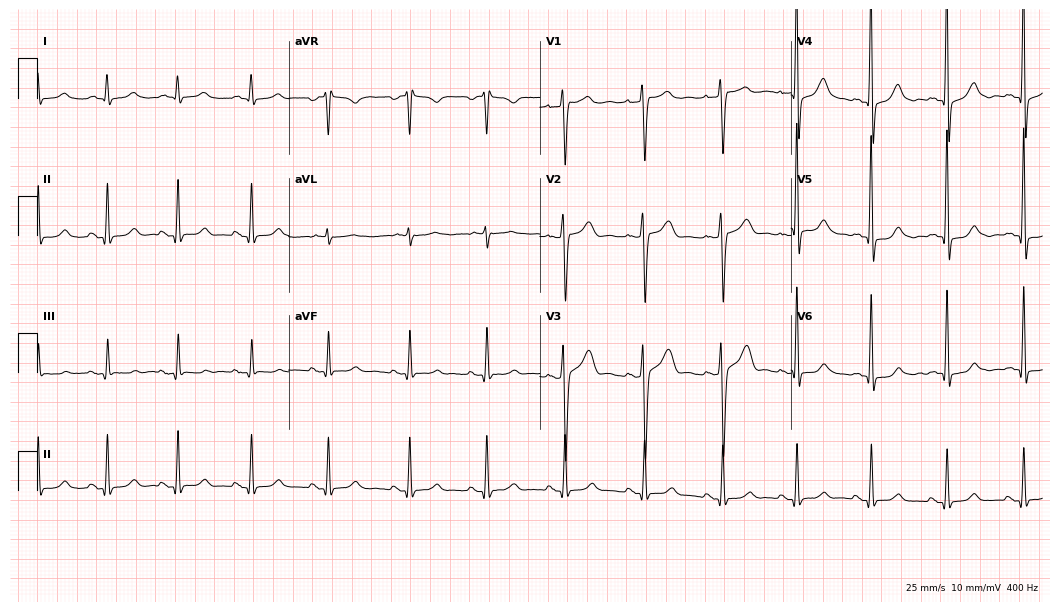
12-lead ECG (10.2-second recording at 400 Hz) from a 48-year-old male. Labelled as a normal ECG.